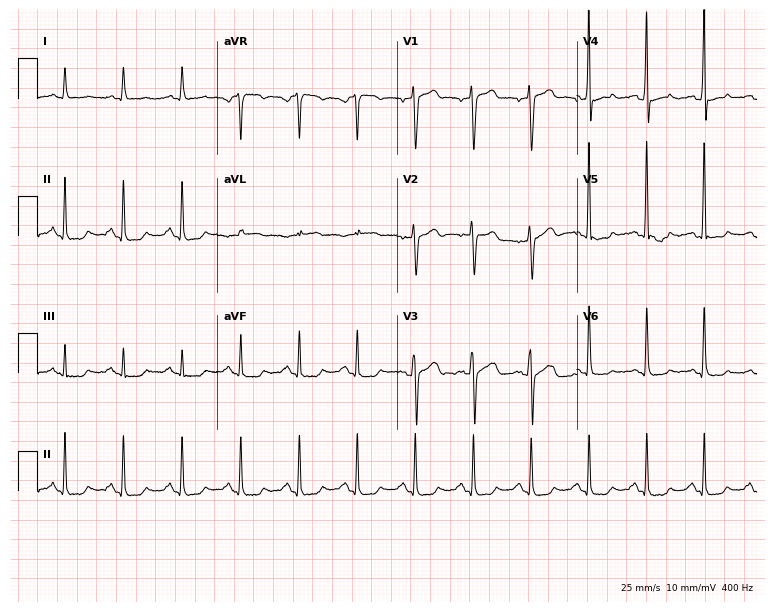
Electrocardiogram (7.3-second recording at 400 Hz), a male patient, 62 years old. Of the six screened findings (first-degree AV block, right bundle branch block (RBBB), left bundle branch block (LBBB), sinus bradycardia, atrial fibrillation (AF), sinus tachycardia), none is recorded.